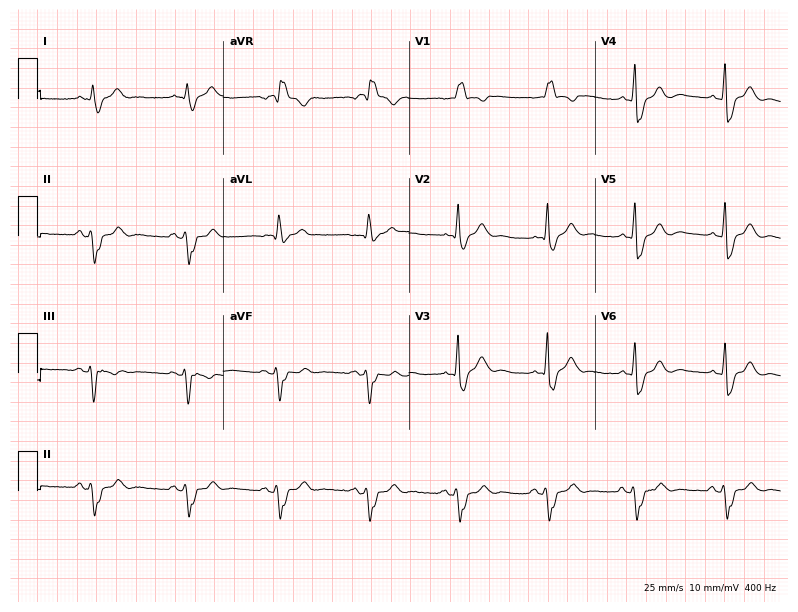
Resting 12-lead electrocardiogram (7.6-second recording at 400 Hz). Patient: a male, 62 years old. The tracing shows right bundle branch block.